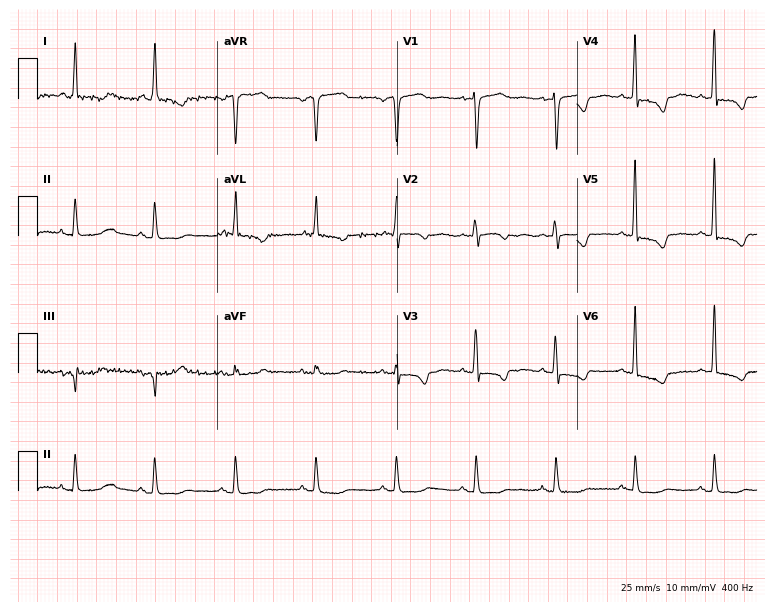
Standard 12-lead ECG recorded from a woman, 75 years old. None of these six findings is recorded: first-degree AV block, right bundle branch block, left bundle branch block, sinus bradycardia, atrial fibrillation, sinus tachycardia.